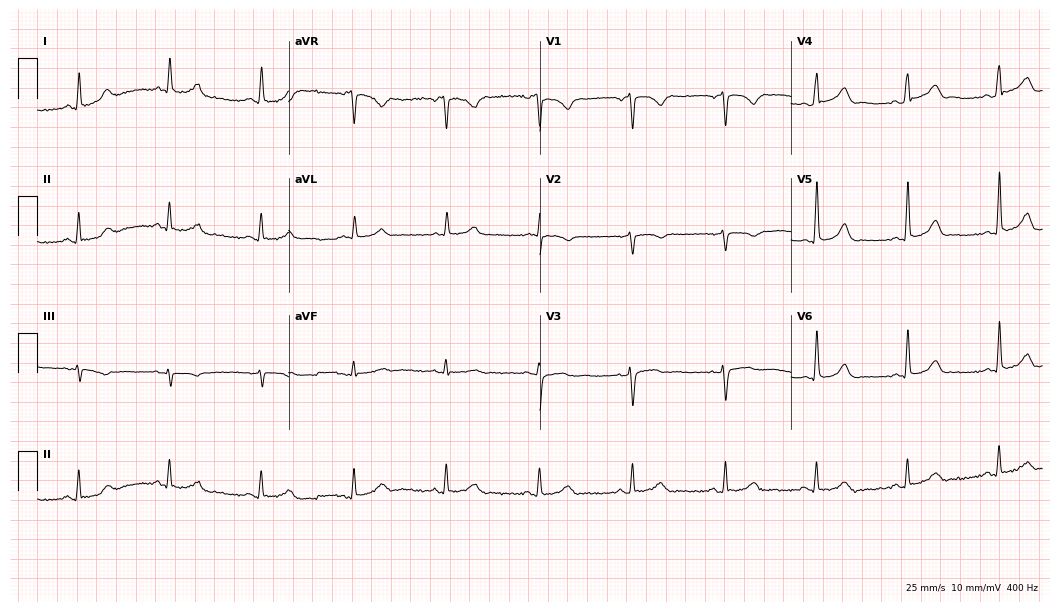
Electrocardiogram (10.2-second recording at 400 Hz), a 56-year-old male patient. Of the six screened findings (first-degree AV block, right bundle branch block (RBBB), left bundle branch block (LBBB), sinus bradycardia, atrial fibrillation (AF), sinus tachycardia), none is recorded. Findings outside these six are not listed.